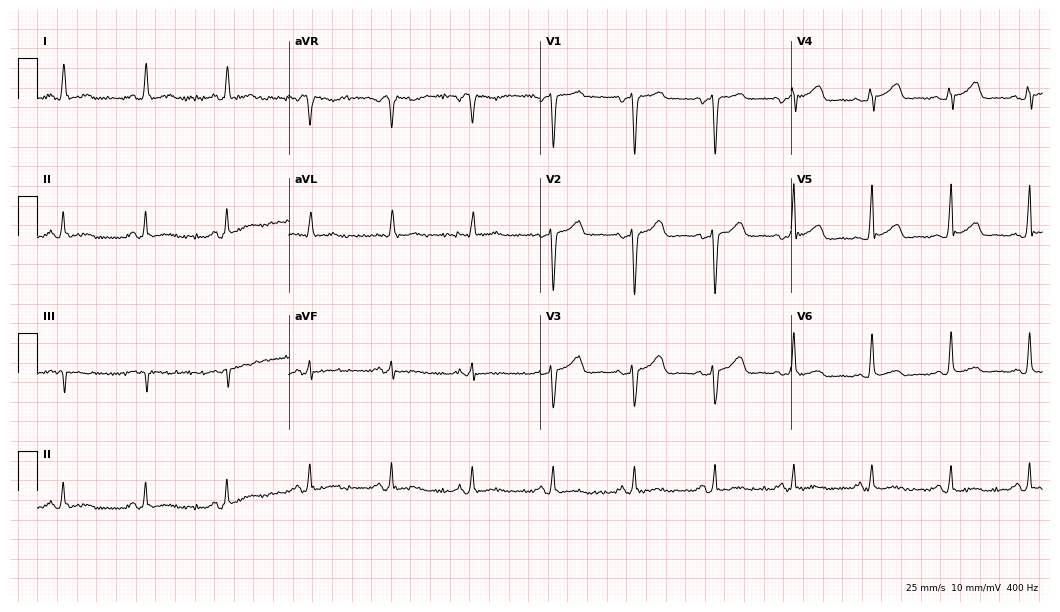
12-lead ECG (10.2-second recording at 400 Hz) from a 45-year-old woman. Labelled as a normal ECG.